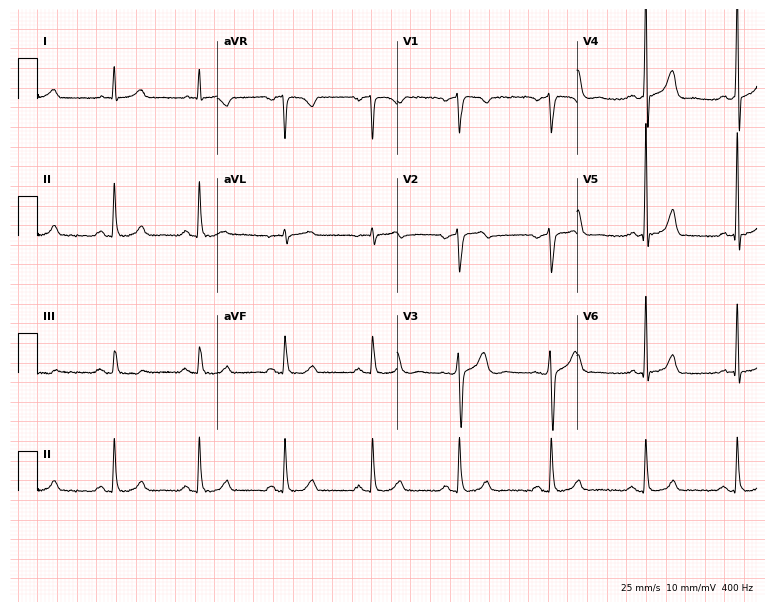
Electrocardiogram, a male patient, 46 years old. Of the six screened findings (first-degree AV block, right bundle branch block, left bundle branch block, sinus bradycardia, atrial fibrillation, sinus tachycardia), none is recorded. Other findings, if any, are not listed.